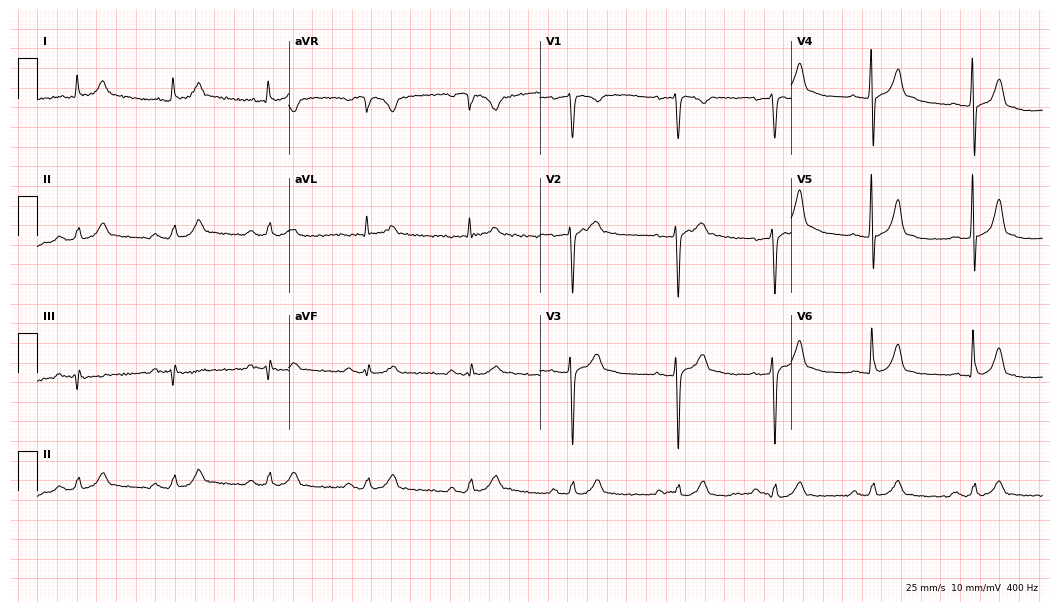
12-lead ECG from a 54-year-old male (10.2-second recording at 400 Hz). Recorded interpretation: within normal limits.